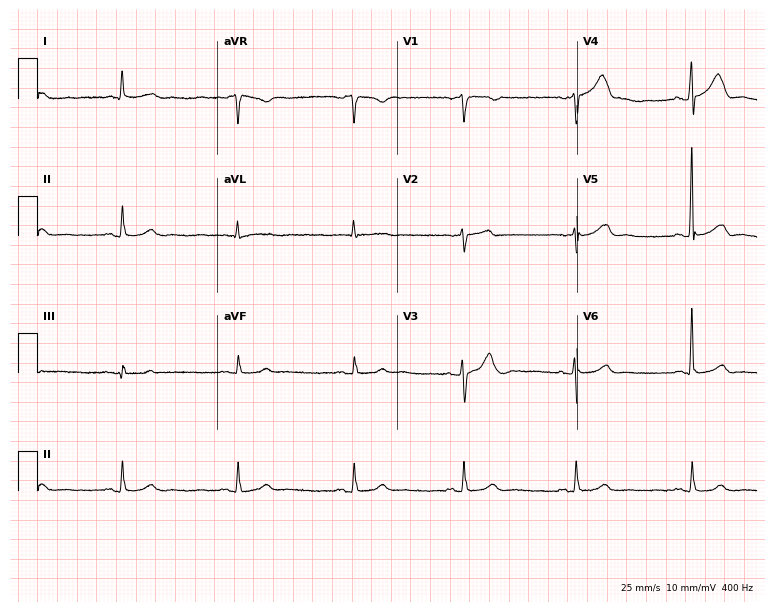
Resting 12-lead electrocardiogram (7.3-second recording at 400 Hz). Patient: a man, 65 years old. None of these six findings is recorded: first-degree AV block, right bundle branch block (RBBB), left bundle branch block (LBBB), sinus bradycardia, atrial fibrillation (AF), sinus tachycardia. Only these six findings were labelled.